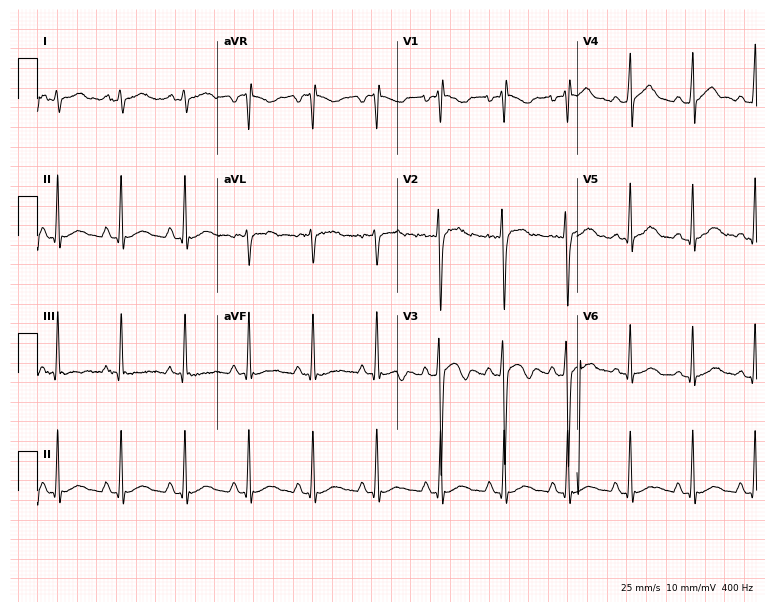
12-lead ECG from a man, 25 years old (7.3-second recording at 400 Hz). Recorded interpretation: within normal limits.